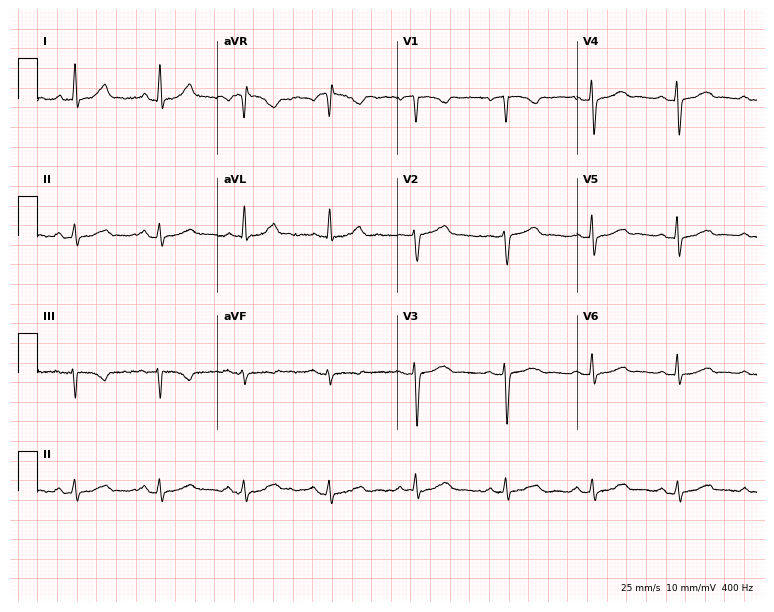
12-lead ECG from a female, 46 years old. Recorded interpretation: within normal limits.